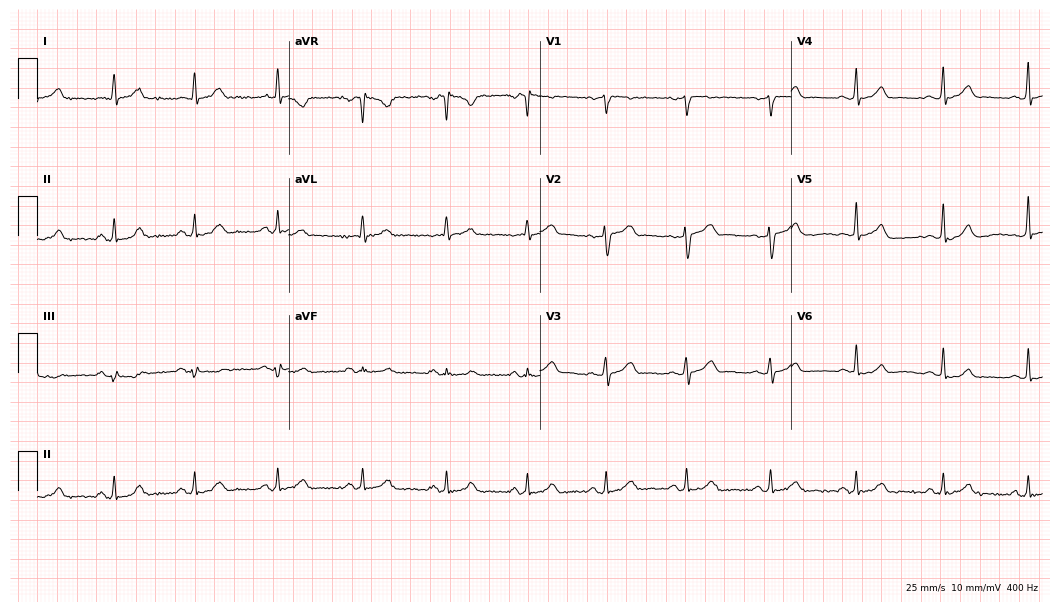
ECG (10.2-second recording at 400 Hz) — a man, 35 years old. Labelled as a normal ECG.